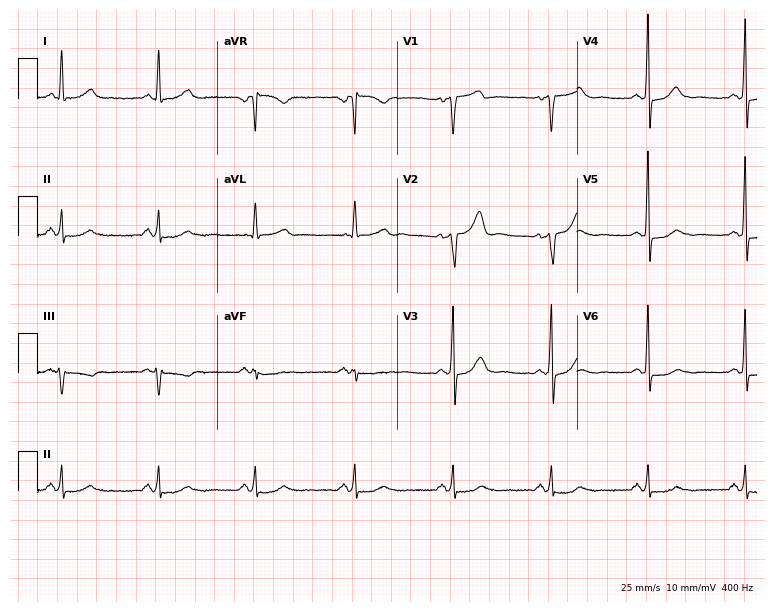
Standard 12-lead ECG recorded from a male patient, 54 years old (7.3-second recording at 400 Hz). None of these six findings is recorded: first-degree AV block, right bundle branch block, left bundle branch block, sinus bradycardia, atrial fibrillation, sinus tachycardia. Only these six findings were labelled.